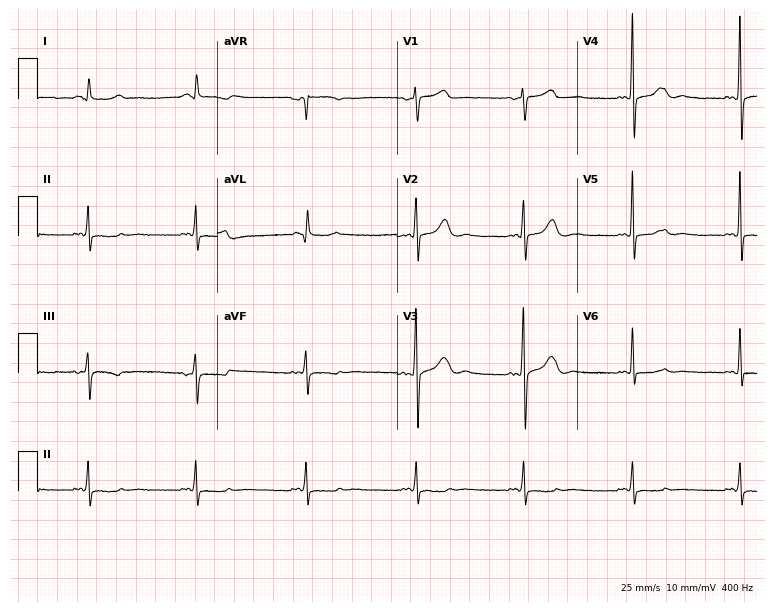
Electrocardiogram, a 70-year-old female. Of the six screened findings (first-degree AV block, right bundle branch block (RBBB), left bundle branch block (LBBB), sinus bradycardia, atrial fibrillation (AF), sinus tachycardia), none is recorded.